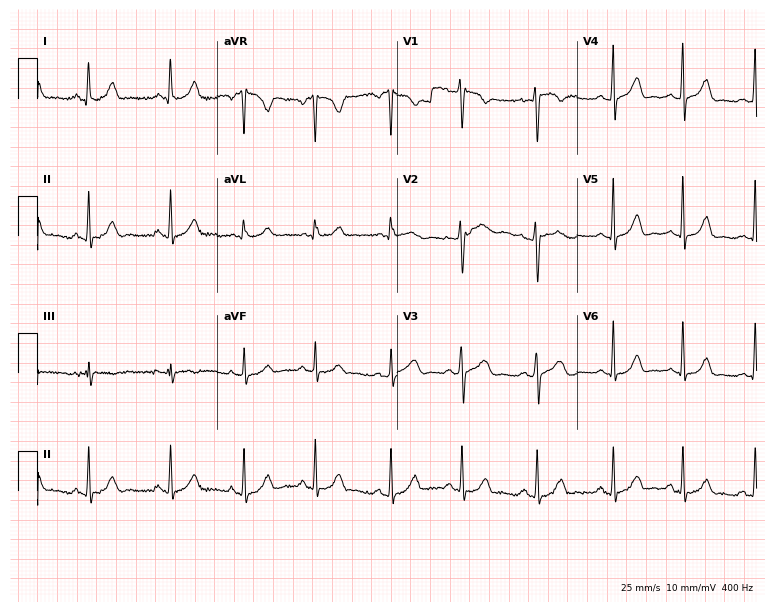
12-lead ECG from a 21-year-old woman (7.3-second recording at 400 Hz). Recorded interpretation: within normal limits.